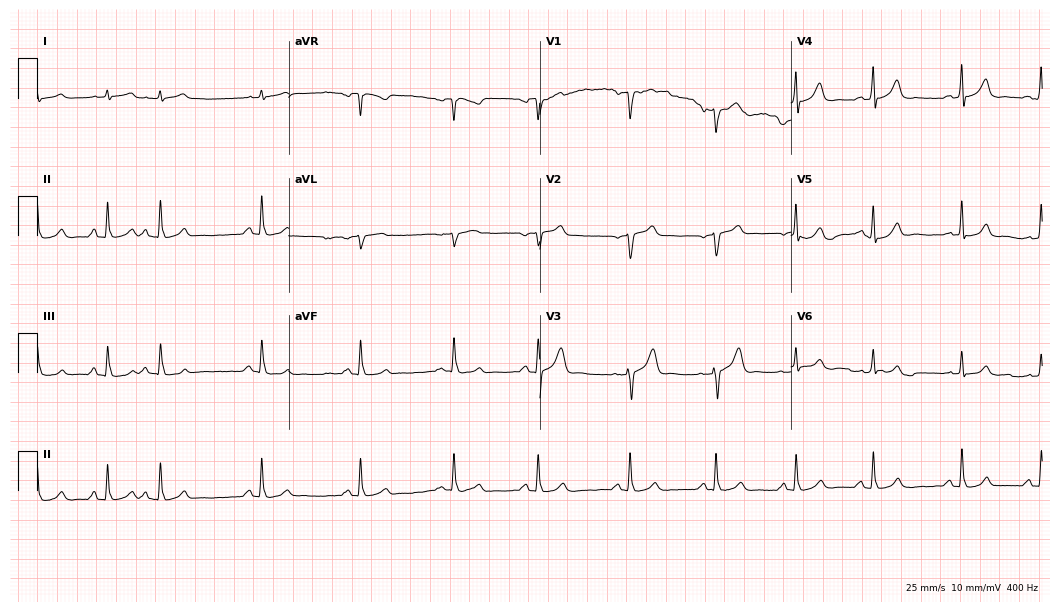
12-lead ECG from a man, 59 years old. Screened for six findings — first-degree AV block, right bundle branch block (RBBB), left bundle branch block (LBBB), sinus bradycardia, atrial fibrillation (AF), sinus tachycardia — none is recorded. Only these six findings were labelled.